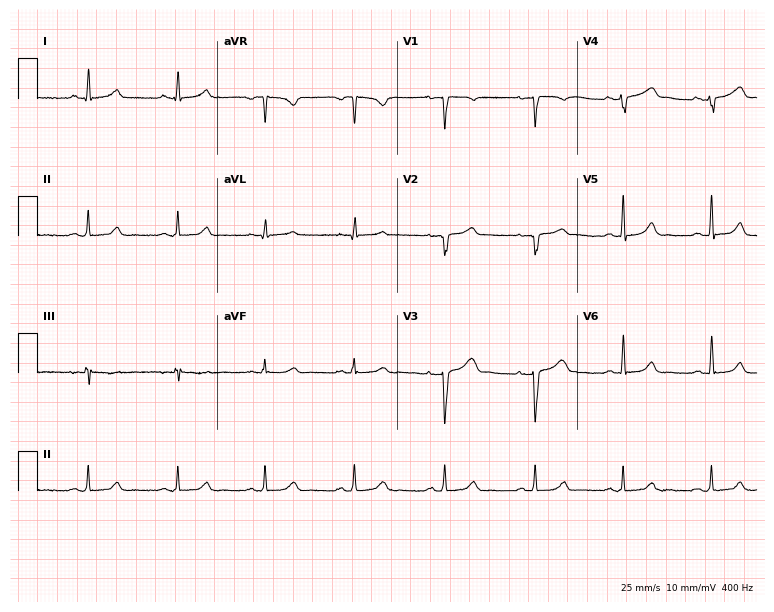
ECG — a female, 37 years old. Screened for six findings — first-degree AV block, right bundle branch block, left bundle branch block, sinus bradycardia, atrial fibrillation, sinus tachycardia — none is recorded.